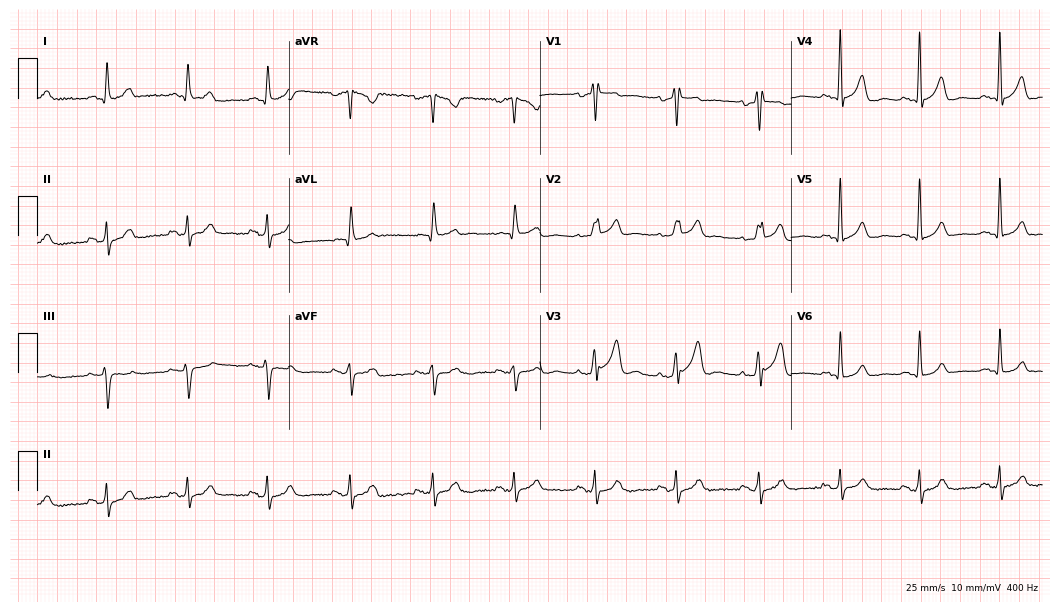
Electrocardiogram, a 64-year-old man. Of the six screened findings (first-degree AV block, right bundle branch block (RBBB), left bundle branch block (LBBB), sinus bradycardia, atrial fibrillation (AF), sinus tachycardia), none is recorded. Findings outside these six are not listed.